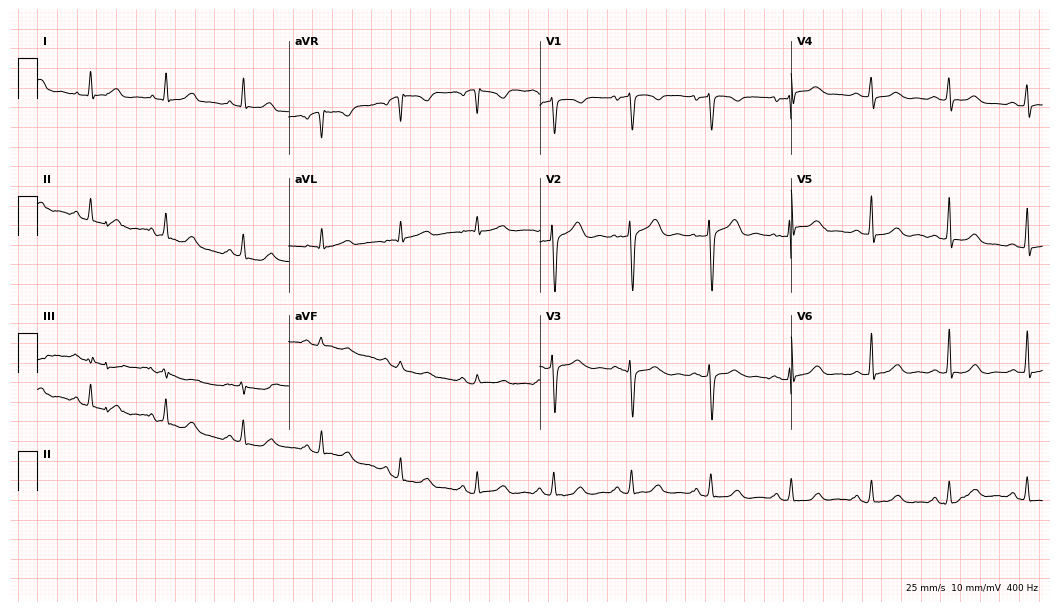
Resting 12-lead electrocardiogram (10.2-second recording at 400 Hz). Patient: a 47-year-old female. None of these six findings is recorded: first-degree AV block, right bundle branch block, left bundle branch block, sinus bradycardia, atrial fibrillation, sinus tachycardia.